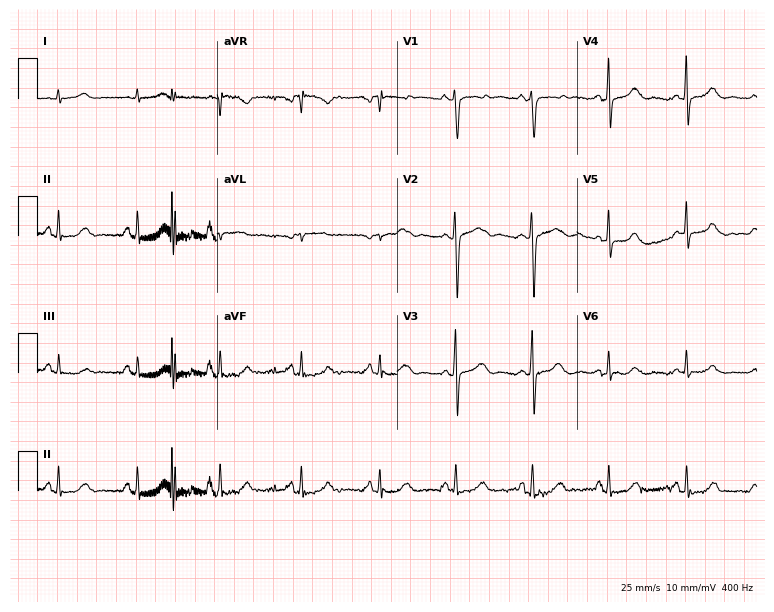
Resting 12-lead electrocardiogram (7.3-second recording at 400 Hz). Patient: a 44-year-old female. Read as a normal ECG.